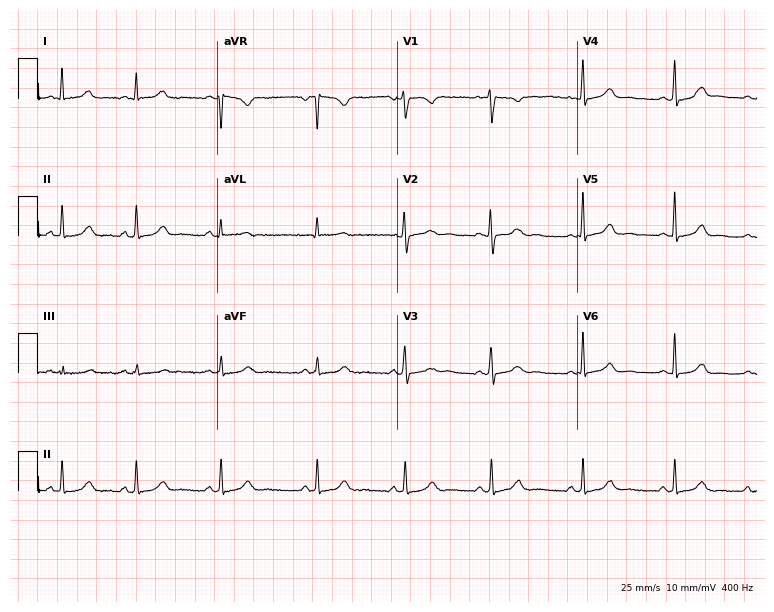
12-lead ECG (7.3-second recording at 400 Hz) from a female, 19 years old. Labelled as a normal ECG.